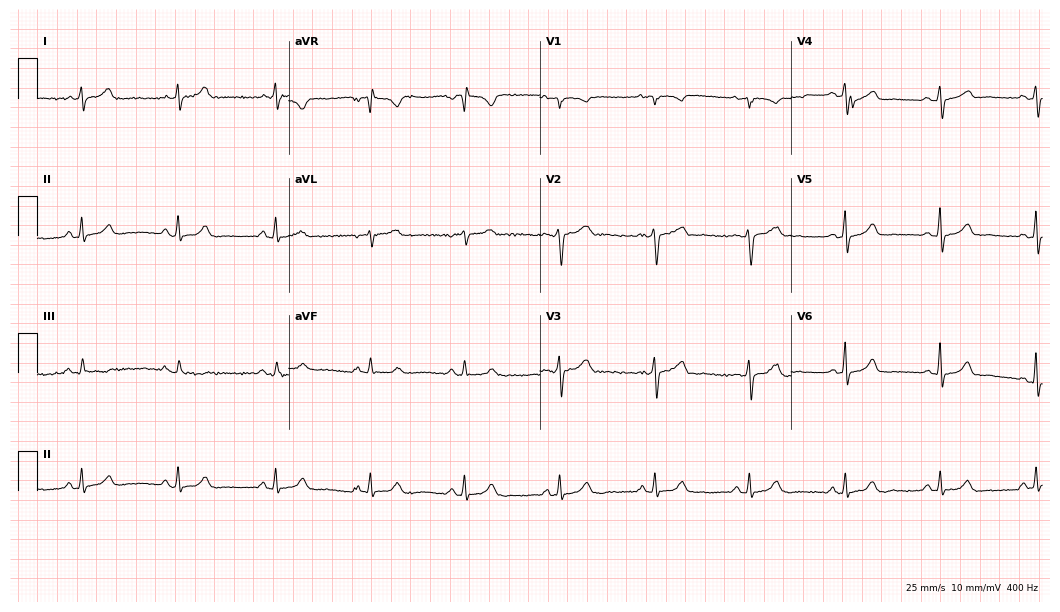
Standard 12-lead ECG recorded from a female patient, 40 years old (10.2-second recording at 400 Hz). Read as a normal ECG.